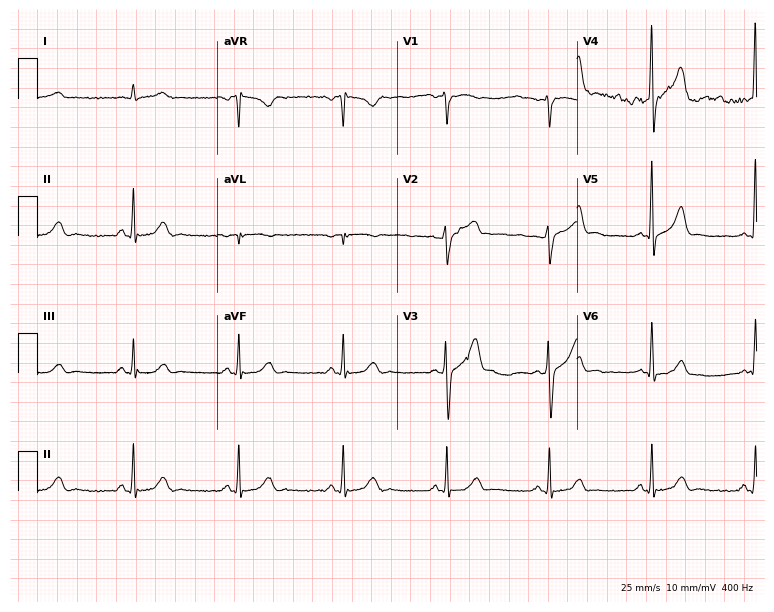
12-lead ECG from a 47-year-old male (7.3-second recording at 400 Hz). Recorded interpretation: within normal limits.